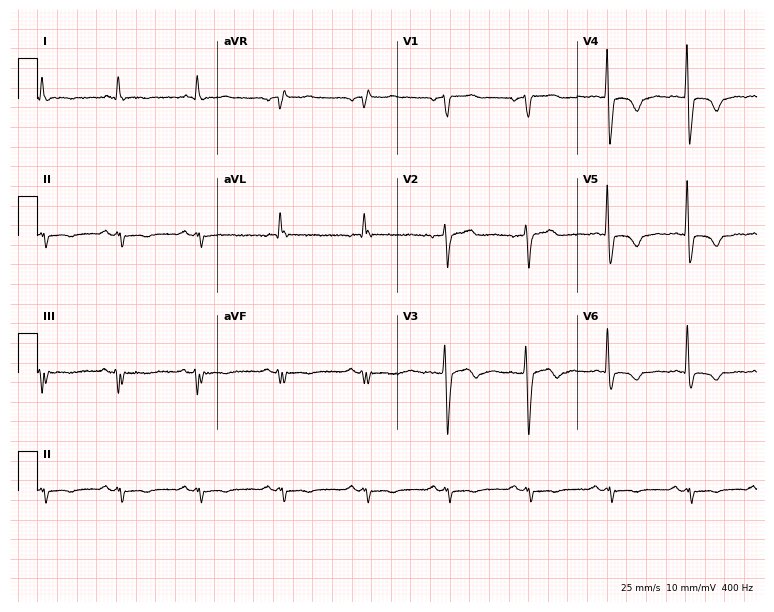
Electrocardiogram, a 70-year-old male patient. Of the six screened findings (first-degree AV block, right bundle branch block (RBBB), left bundle branch block (LBBB), sinus bradycardia, atrial fibrillation (AF), sinus tachycardia), none is recorded.